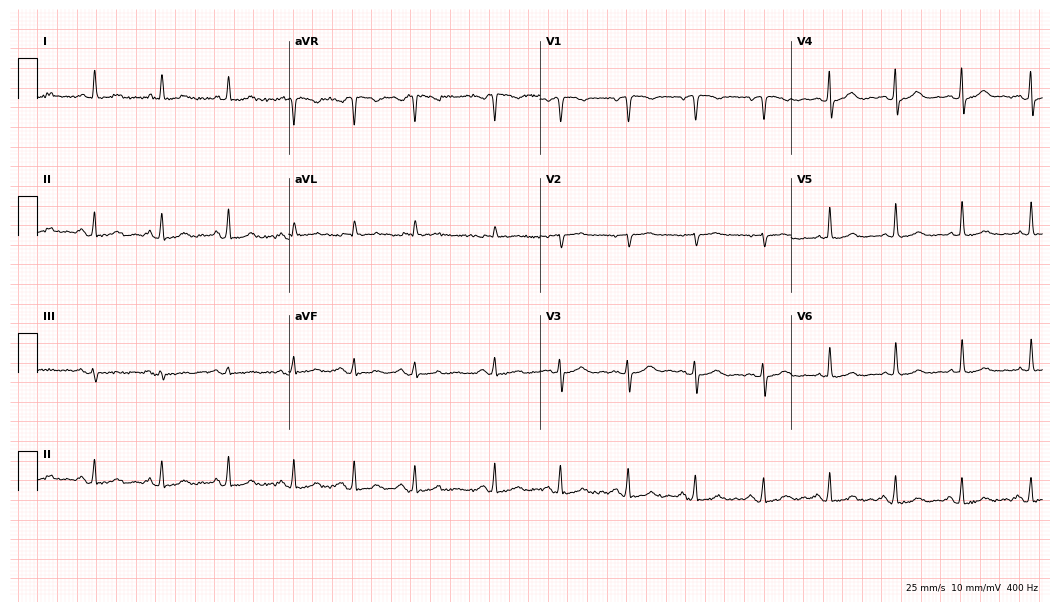
ECG (10.2-second recording at 400 Hz) — a 76-year-old woman. Screened for six findings — first-degree AV block, right bundle branch block, left bundle branch block, sinus bradycardia, atrial fibrillation, sinus tachycardia — none is recorded. Other findings, if any, are not listed.